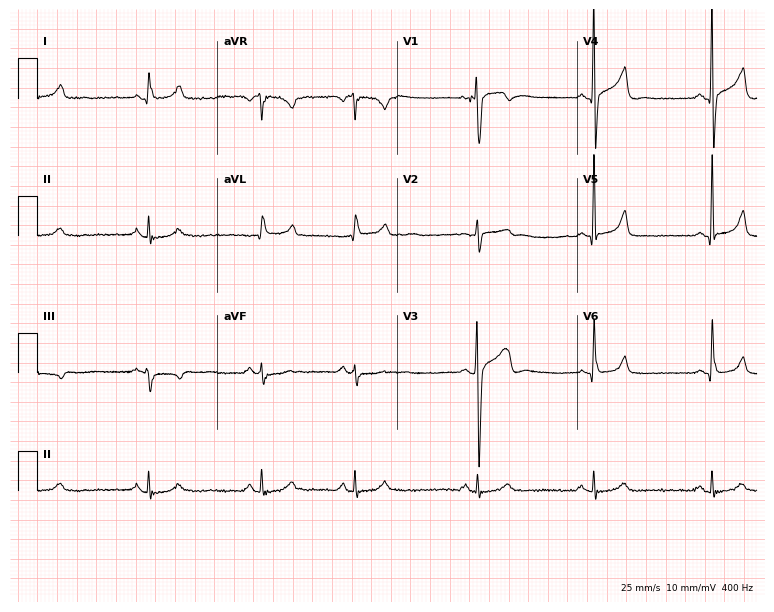
Standard 12-lead ECG recorded from a male, 47 years old (7.3-second recording at 400 Hz). None of these six findings is recorded: first-degree AV block, right bundle branch block, left bundle branch block, sinus bradycardia, atrial fibrillation, sinus tachycardia.